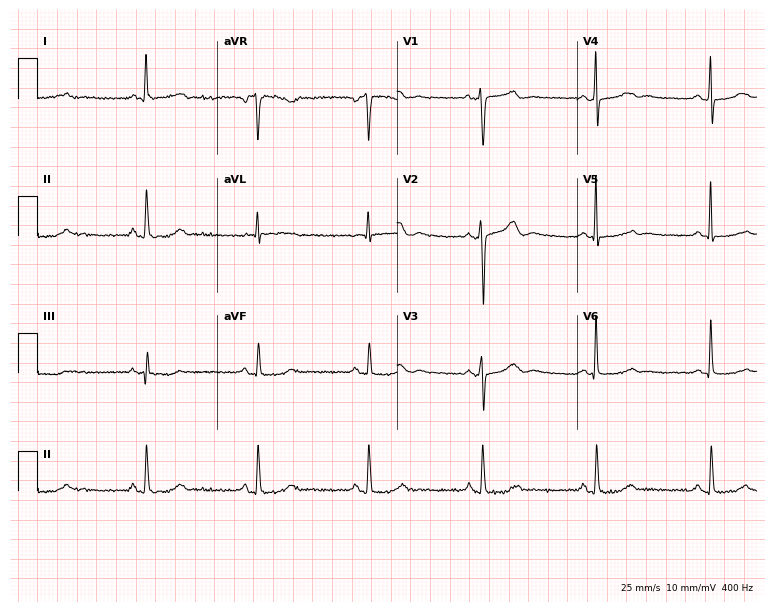
12-lead ECG (7.3-second recording at 400 Hz) from a 50-year-old woman. Labelled as a normal ECG.